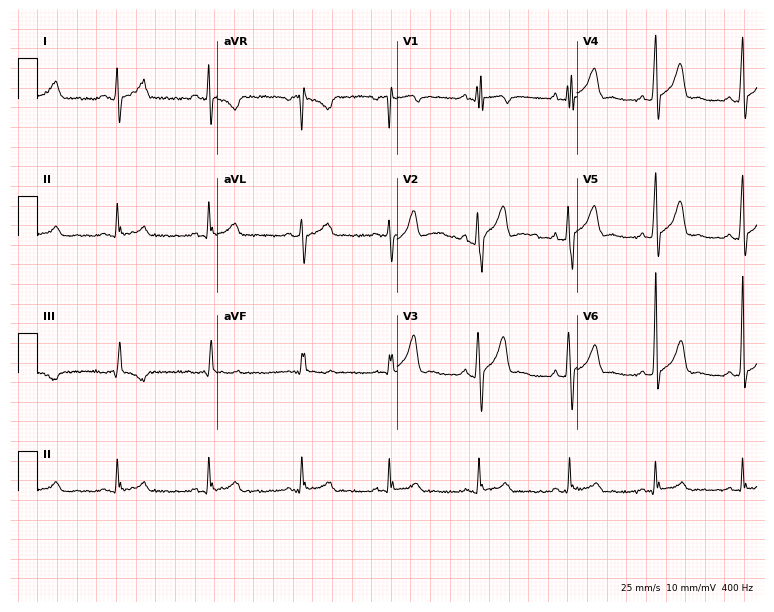
Standard 12-lead ECG recorded from a male, 27 years old (7.3-second recording at 400 Hz). None of these six findings is recorded: first-degree AV block, right bundle branch block, left bundle branch block, sinus bradycardia, atrial fibrillation, sinus tachycardia. Only these six findings were labelled.